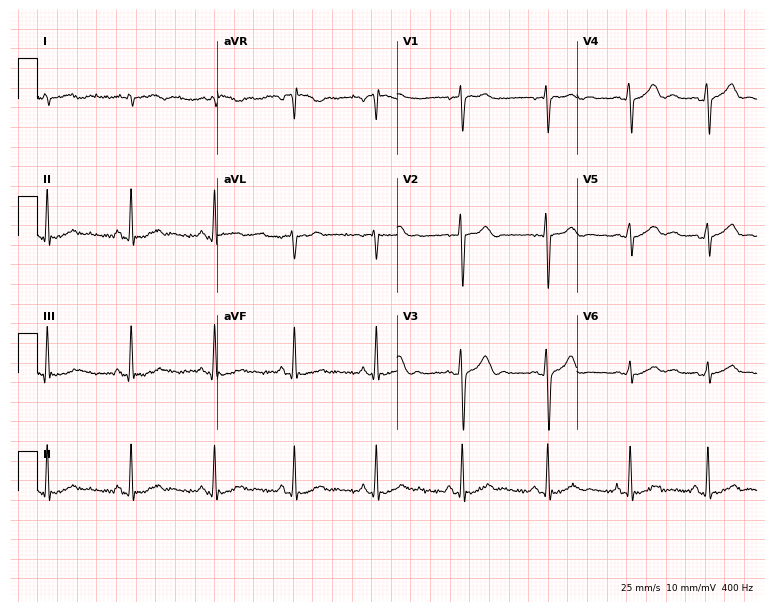
12-lead ECG (7.3-second recording at 400 Hz) from a man, 18 years old. Labelled as a normal ECG.